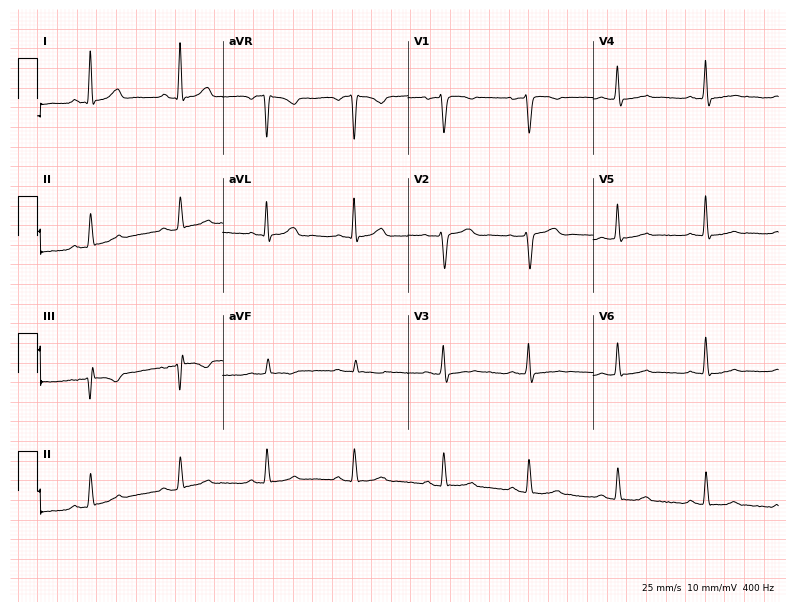
Standard 12-lead ECG recorded from a 38-year-old female. None of these six findings is recorded: first-degree AV block, right bundle branch block, left bundle branch block, sinus bradycardia, atrial fibrillation, sinus tachycardia.